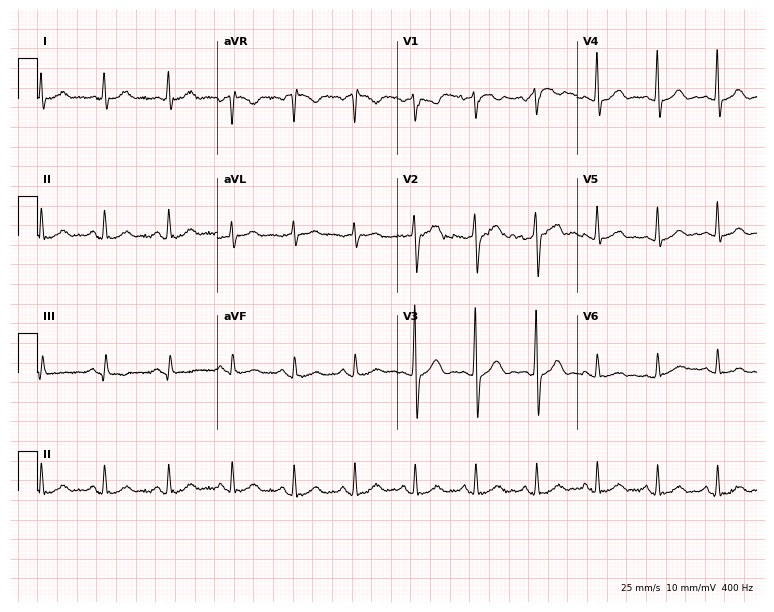
12-lead ECG (7.3-second recording at 400 Hz) from a 58-year-old male patient. Labelled as a normal ECG.